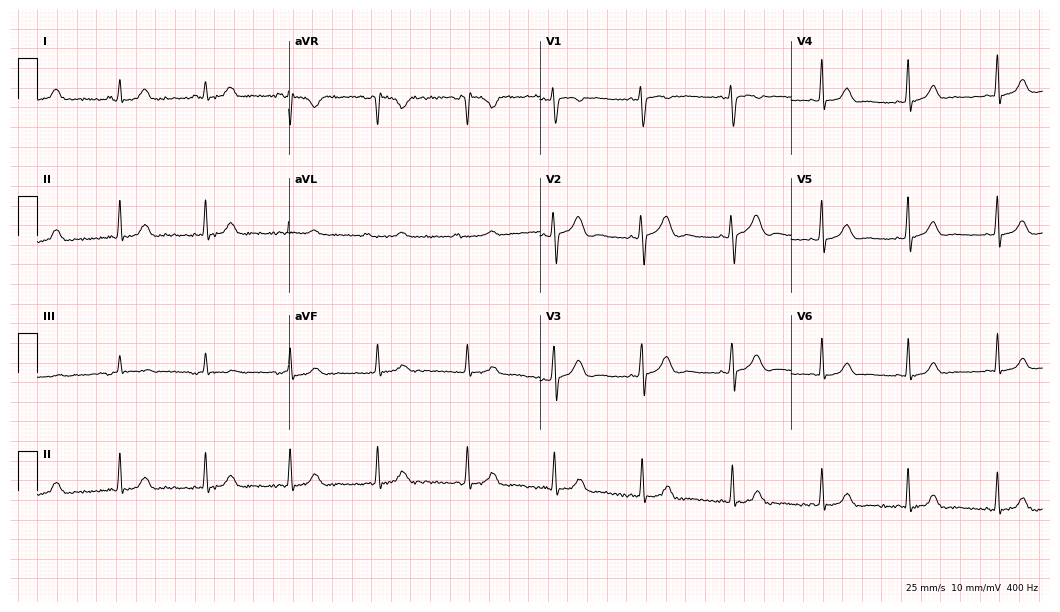
12-lead ECG from a woman, 20 years old. Recorded interpretation: within normal limits.